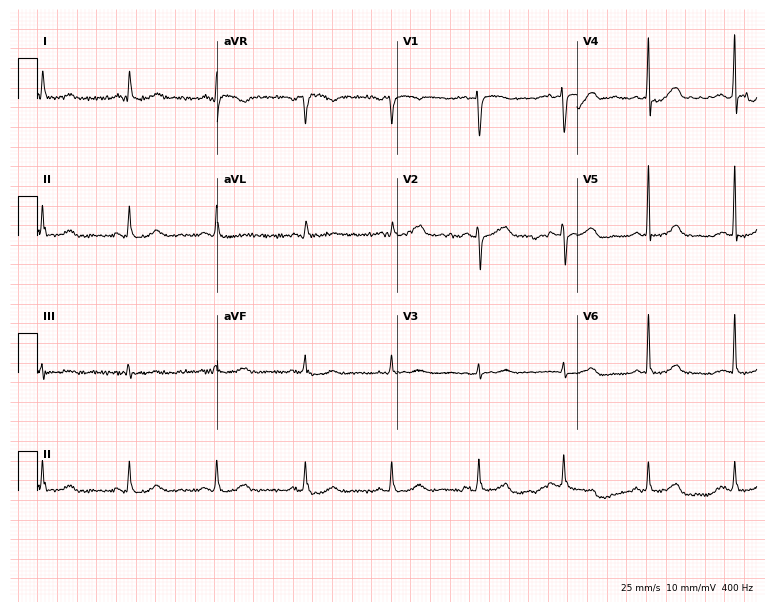
Standard 12-lead ECG recorded from a 63-year-old woman (7.3-second recording at 400 Hz). Read as a normal ECG.